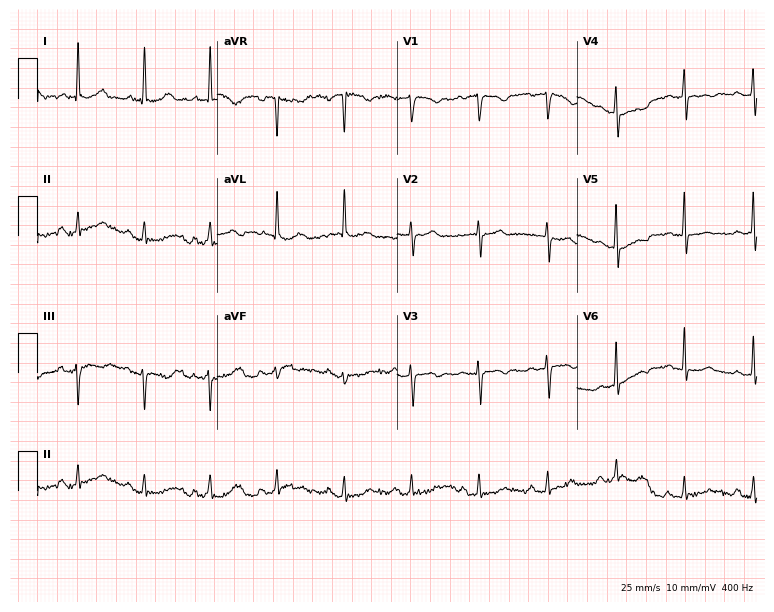
Electrocardiogram, a female, 81 years old. Of the six screened findings (first-degree AV block, right bundle branch block, left bundle branch block, sinus bradycardia, atrial fibrillation, sinus tachycardia), none is recorded. Other findings, if any, are not listed.